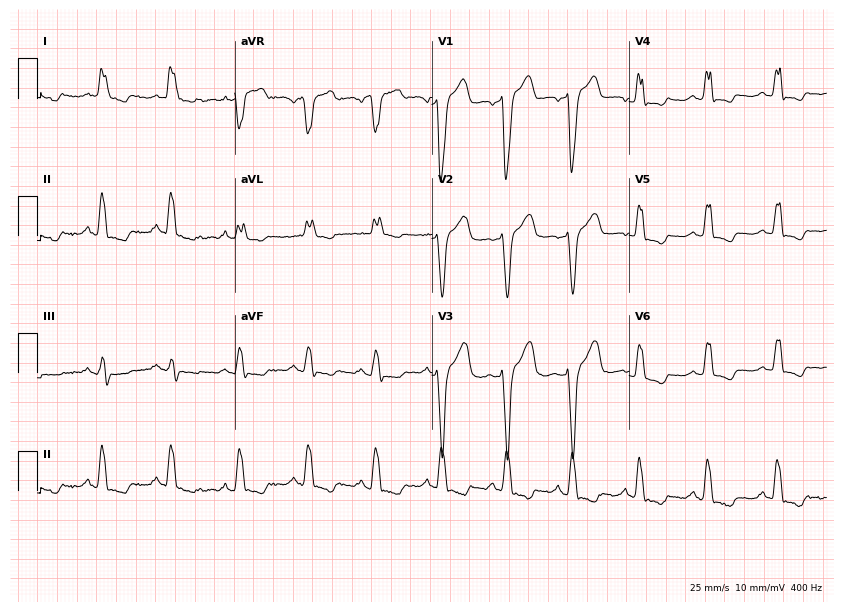
Resting 12-lead electrocardiogram (8-second recording at 400 Hz). Patient: a female, 70 years old. None of these six findings is recorded: first-degree AV block, right bundle branch block, left bundle branch block, sinus bradycardia, atrial fibrillation, sinus tachycardia.